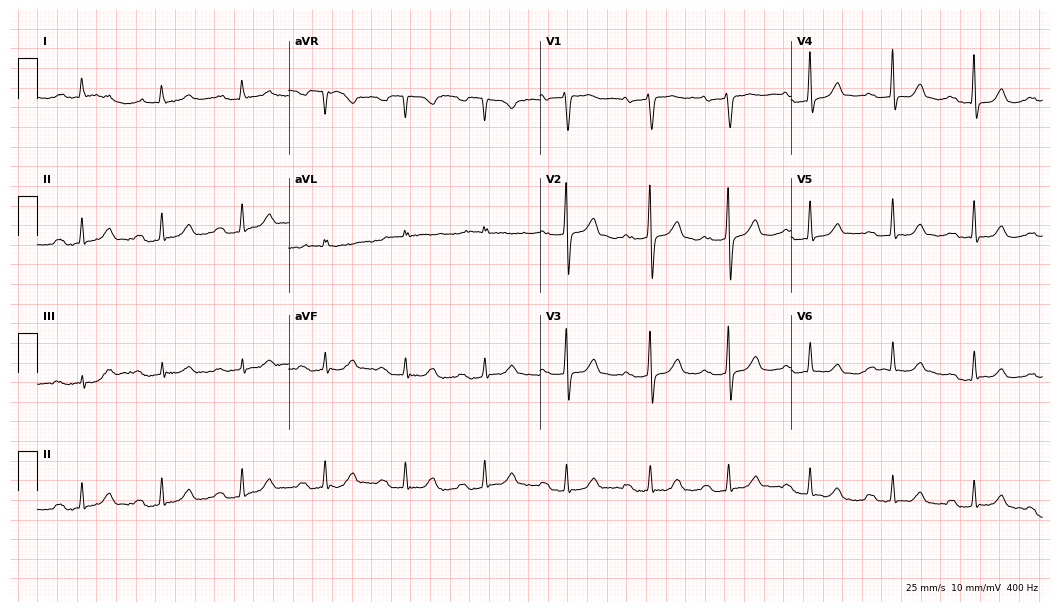
Electrocardiogram (10.2-second recording at 400 Hz), a female patient, 73 years old. Interpretation includes first-degree AV block.